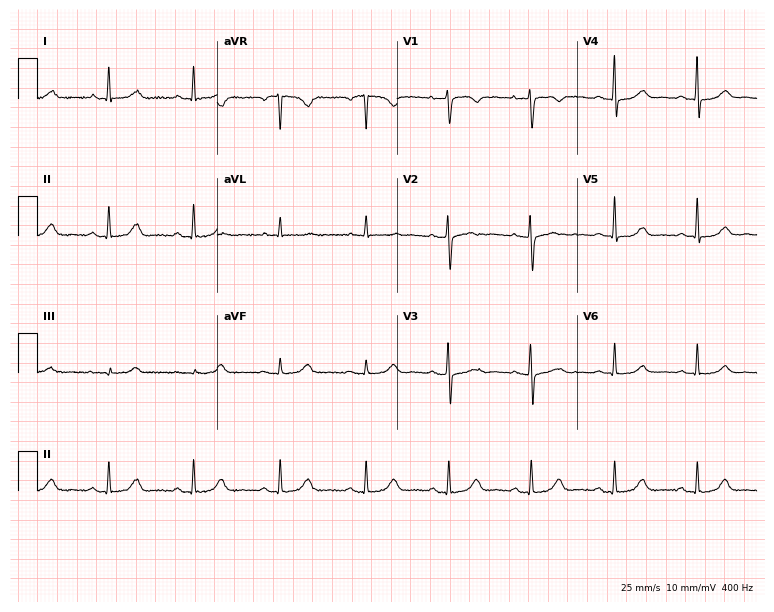
ECG — a 55-year-old female patient. Labelled as a normal ECG.